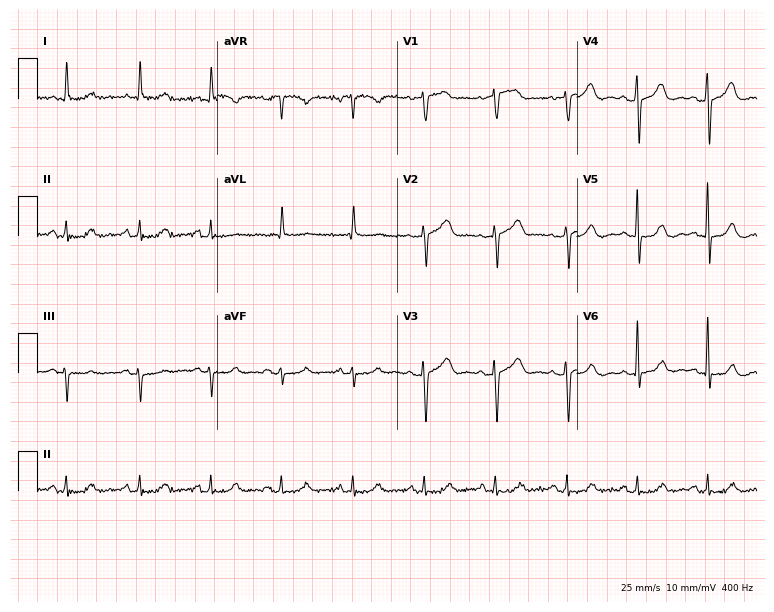
12-lead ECG from a female patient, 82 years old. Screened for six findings — first-degree AV block, right bundle branch block, left bundle branch block, sinus bradycardia, atrial fibrillation, sinus tachycardia — none is recorded.